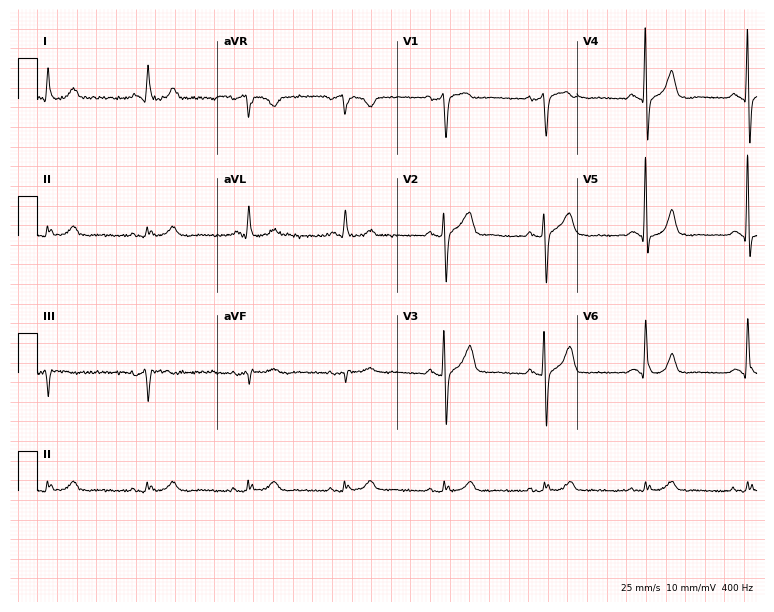
ECG — a 71-year-old man. Screened for six findings — first-degree AV block, right bundle branch block, left bundle branch block, sinus bradycardia, atrial fibrillation, sinus tachycardia — none is recorded. Findings outside these six are not listed.